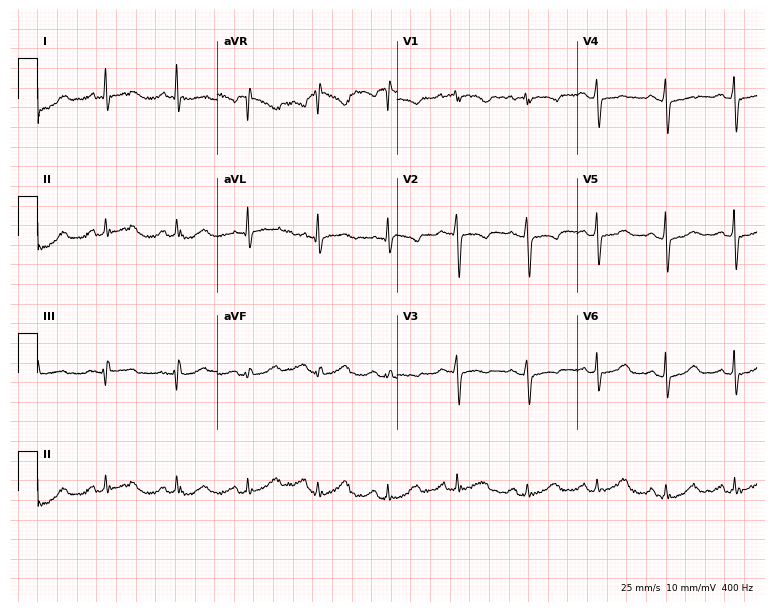
Electrocardiogram, a female, 56 years old. Of the six screened findings (first-degree AV block, right bundle branch block (RBBB), left bundle branch block (LBBB), sinus bradycardia, atrial fibrillation (AF), sinus tachycardia), none is recorded.